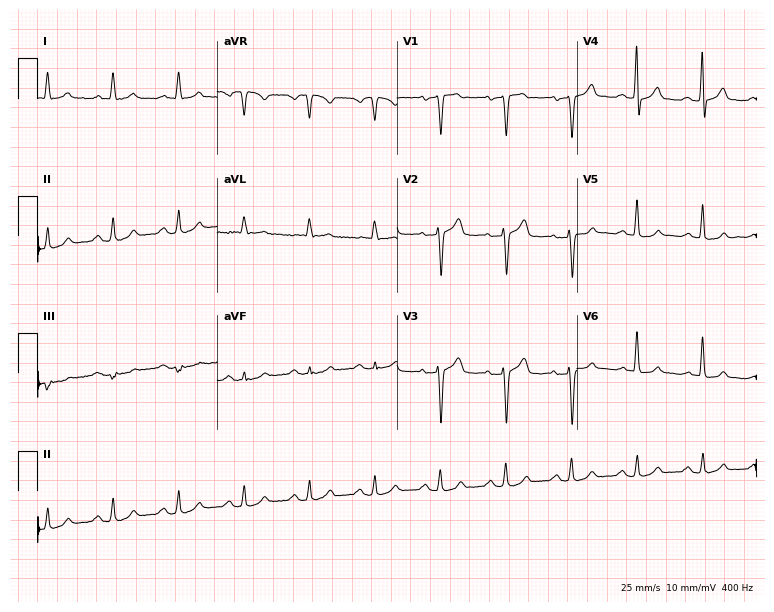
ECG (7.3-second recording at 400 Hz) — a woman, 77 years old. Screened for six findings — first-degree AV block, right bundle branch block (RBBB), left bundle branch block (LBBB), sinus bradycardia, atrial fibrillation (AF), sinus tachycardia — none is recorded.